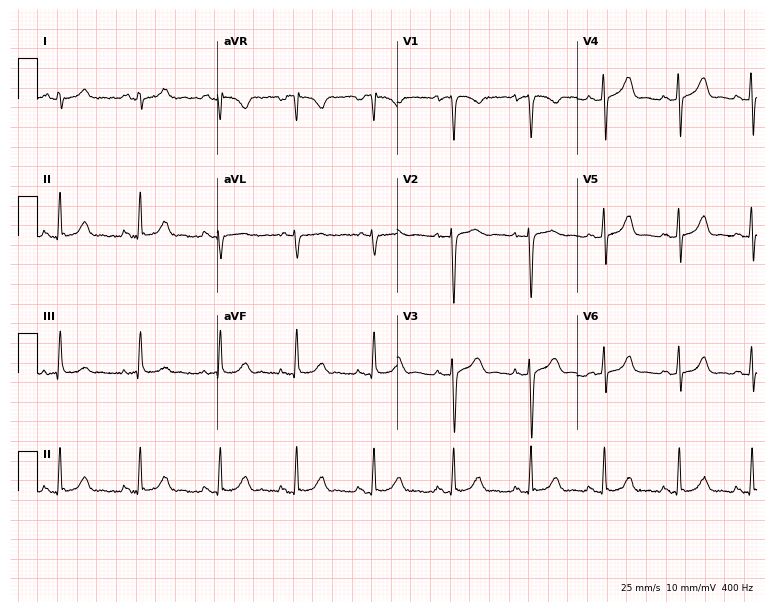
ECG (7.3-second recording at 400 Hz) — a woman, 25 years old. Screened for six findings — first-degree AV block, right bundle branch block, left bundle branch block, sinus bradycardia, atrial fibrillation, sinus tachycardia — none is recorded.